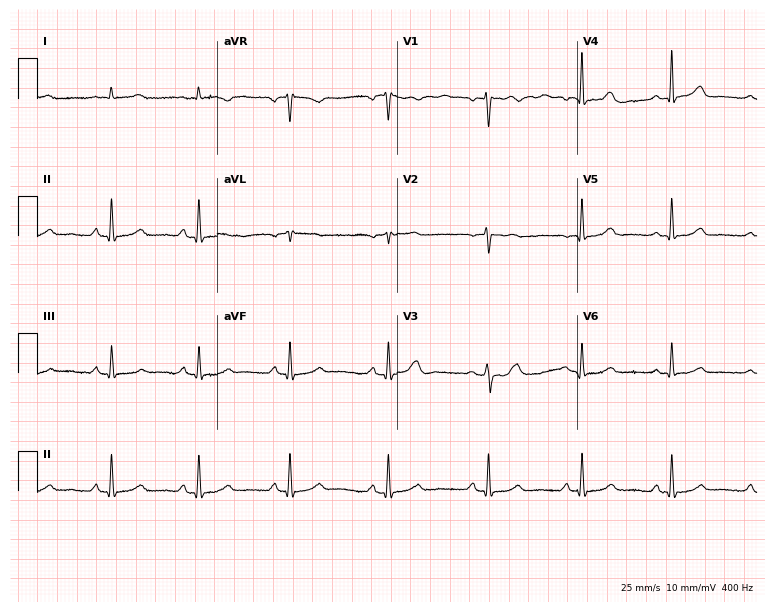
12-lead ECG from a 37-year-old female patient. No first-degree AV block, right bundle branch block (RBBB), left bundle branch block (LBBB), sinus bradycardia, atrial fibrillation (AF) or sinus tachycardia recorded for this tracing.